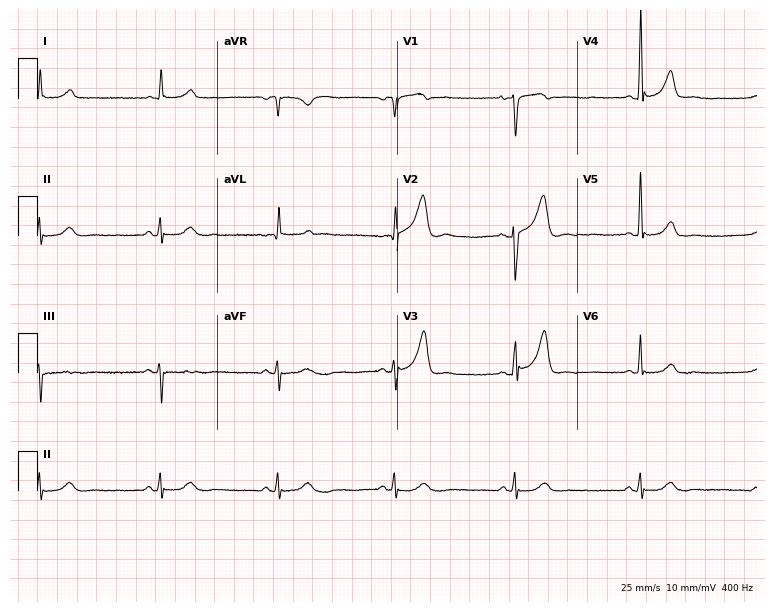
ECG — a male patient, 70 years old. Labelled as a normal ECG.